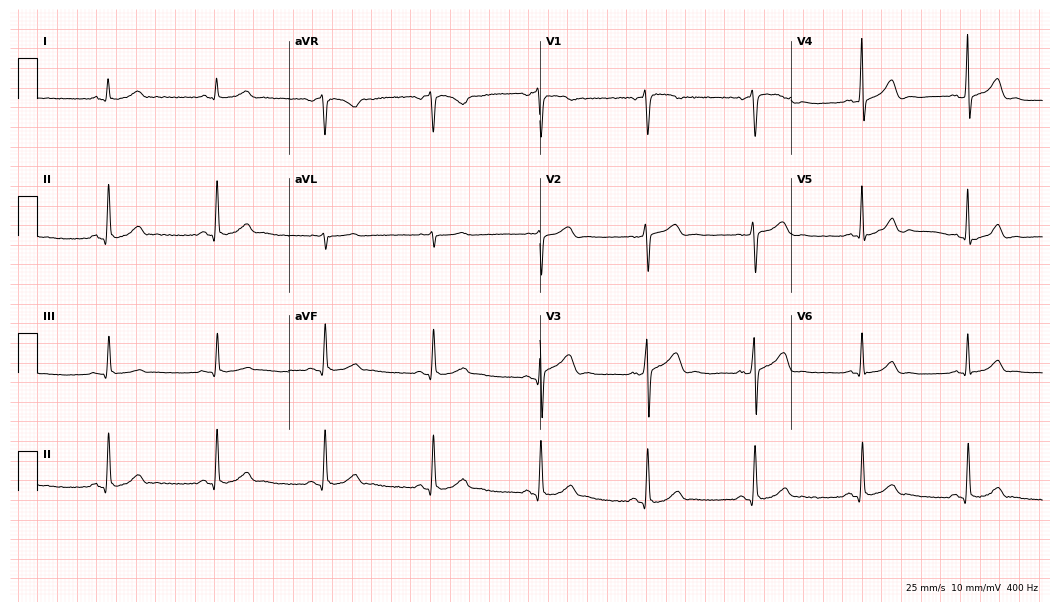
ECG — a man, 49 years old. Labelled as a normal ECG.